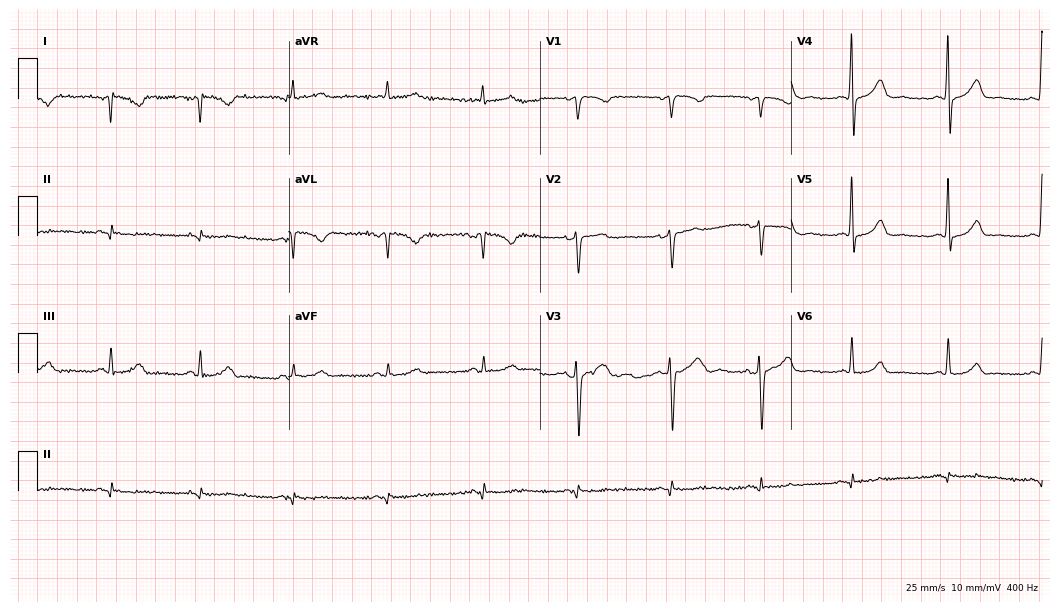
Resting 12-lead electrocardiogram (10.2-second recording at 400 Hz). Patient: a 35-year-old woman. None of these six findings is recorded: first-degree AV block, right bundle branch block, left bundle branch block, sinus bradycardia, atrial fibrillation, sinus tachycardia.